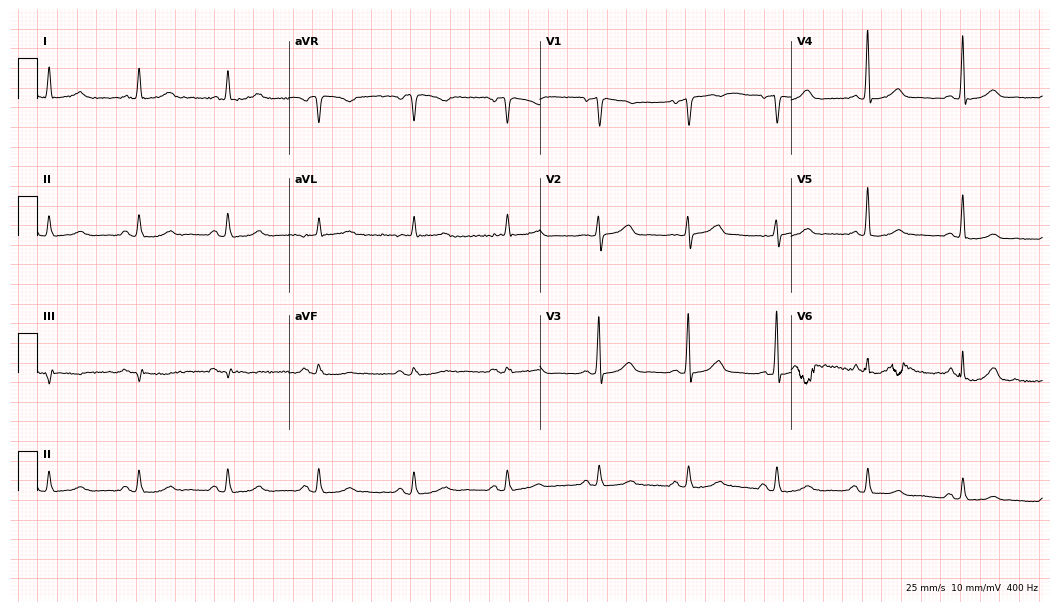
Electrocardiogram, a 57-year-old woman. Overall reading on record: normal ECG.